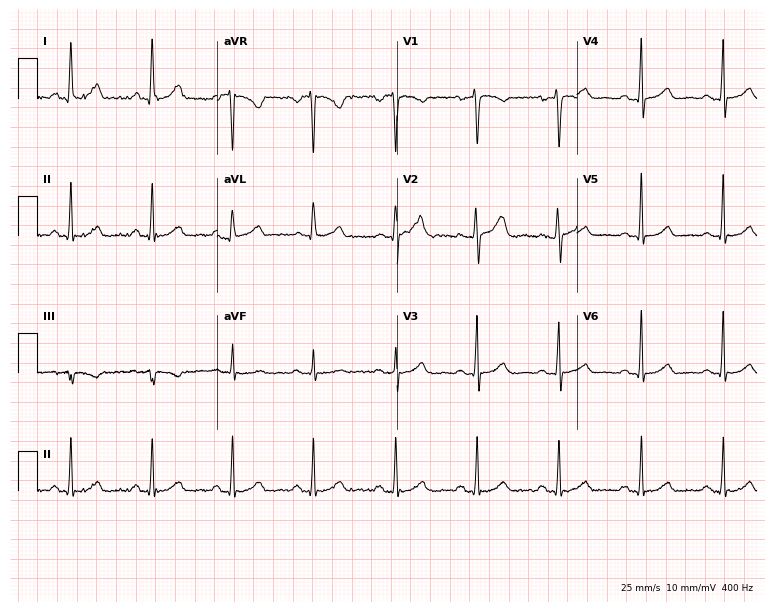
12-lead ECG from a female, 53 years old. Labelled as a normal ECG.